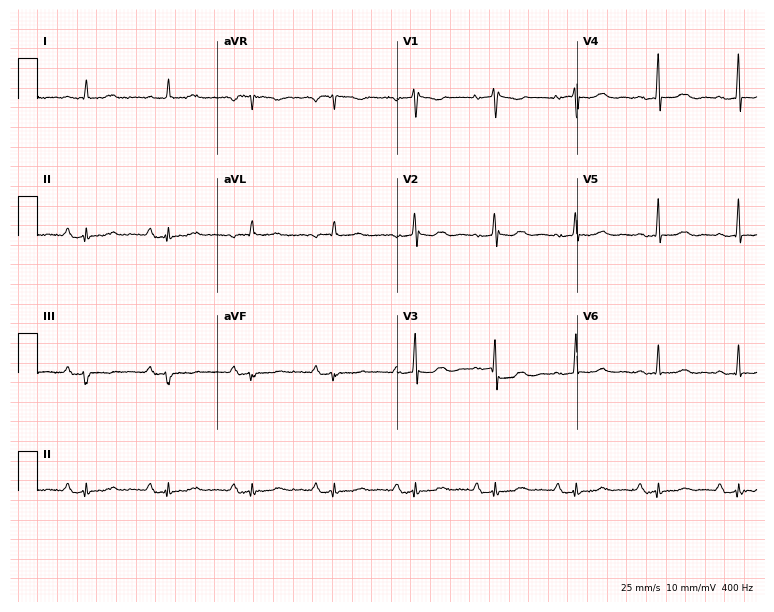
Standard 12-lead ECG recorded from a female, 59 years old. None of these six findings is recorded: first-degree AV block, right bundle branch block, left bundle branch block, sinus bradycardia, atrial fibrillation, sinus tachycardia.